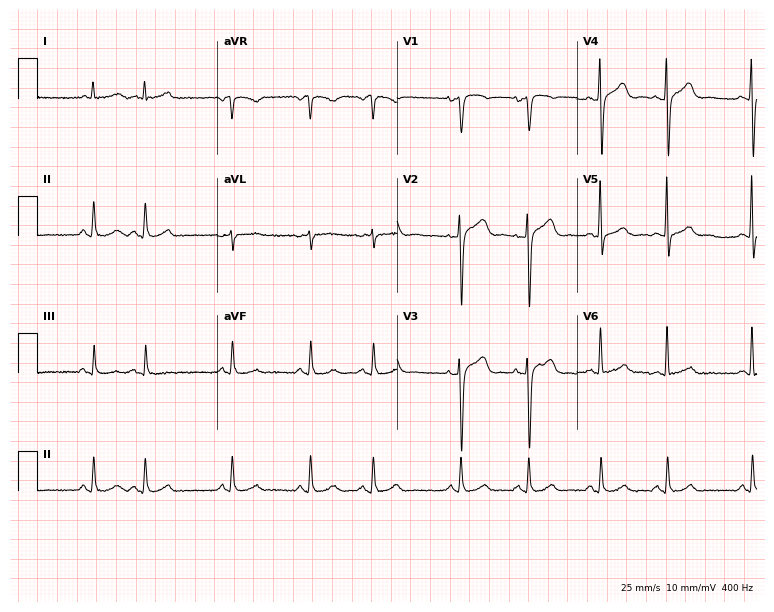
Electrocardiogram (7.3-second recording at 400 Hz), a 79-year-old male patient. Of the six screened findings (first-degree AV block, right bundle branch block, left bundle branch block, sinus bradycardia, atrial fibrillation, sinus tachycardia), none is recorded.